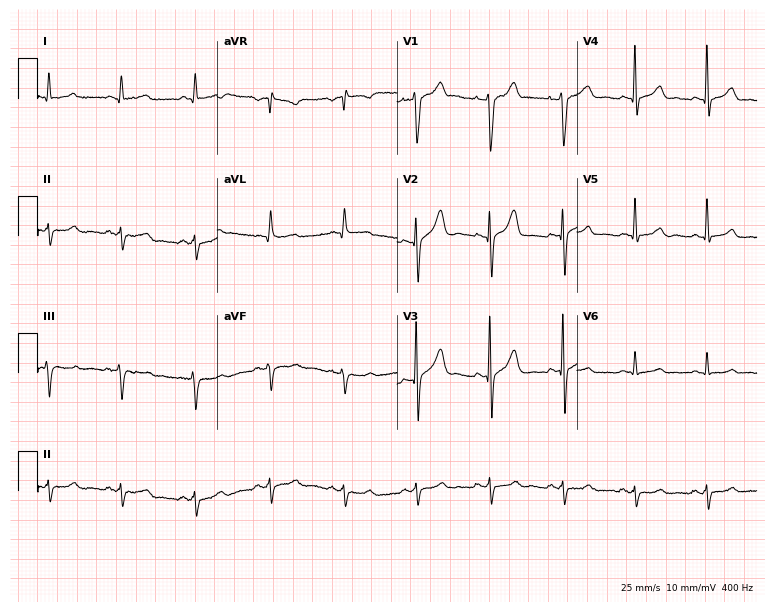
Resting 12-lead electrocardiogram. Patient: a 43-year-old male. None of these six findings is recorded: first-degree AV block, right bundle branch block, left bundle branch block, sinus bradycardia, atrial fibrillation, sinus tachycardia.